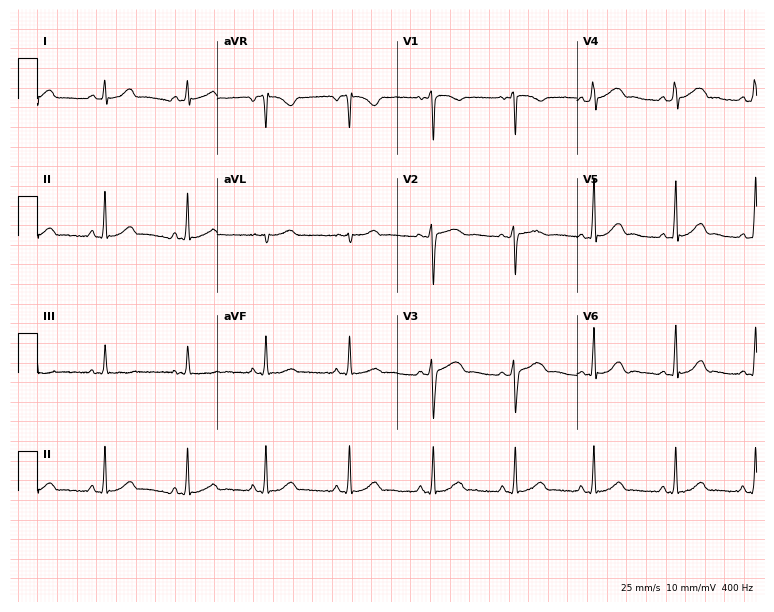
ECG (7.3-second recording at 400 Hz) — a female, 30 years old. Screened for six findings — first-degree AV block, right bundle branch block, left bundle branch block, sinus bradycardia, atrial fibrillation, sinus tachycardia — none is recorded.